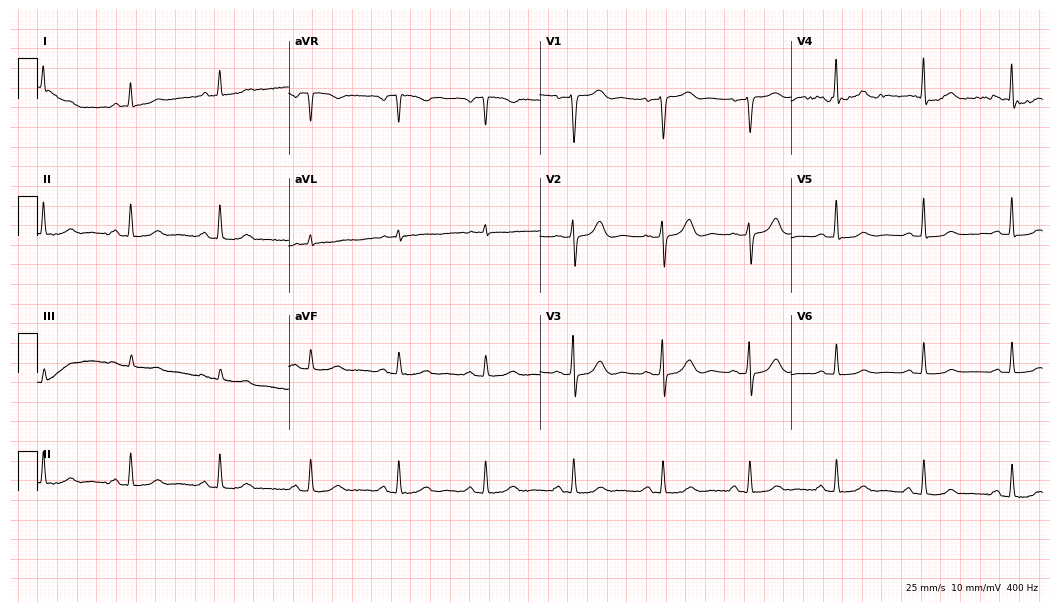
12-lead ECG (10.2-second recording at 400 Hz) from a 66-year-old female patient. Screened for six findings — first-degree AV block, right bundle branch block (RBBB), left bundle branch block (LBBB), sinus bradycardia, atrial fibrillation (AF), sinus tachycardia — none is recorded.